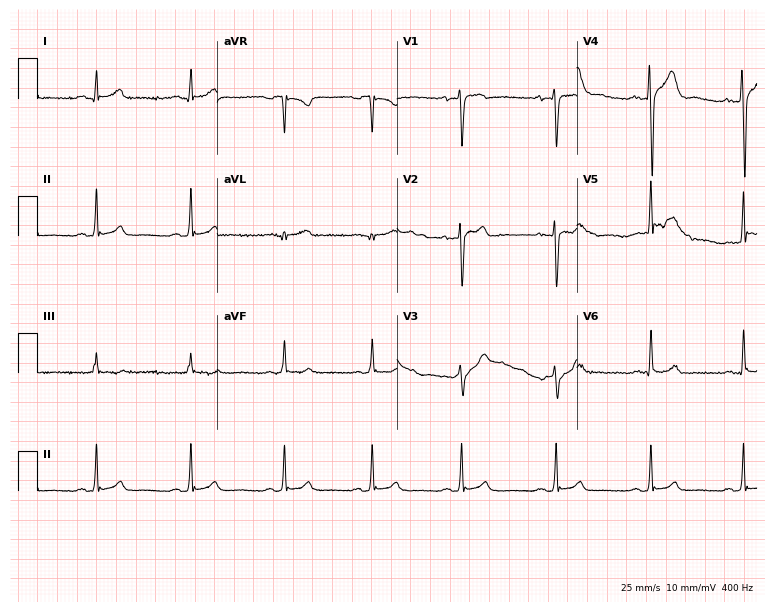
Resting 12-lead electrocardiogram (7.3-second recording at 400 Hz). Patient: a male, 19 years old. None of these six findings is recorded: first-degree AV block, right bundle branch block, left bundle branch block, sinus bradycardia, atrial fibrillation, sinus tachycardia. Findings outside these six are not listed.